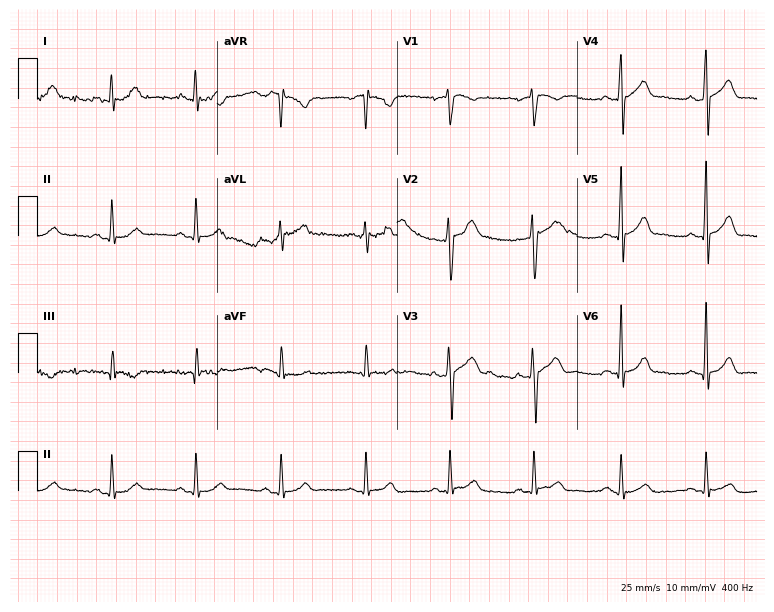
Standard 12-lead ECG recorded from a 36-year-old man. Read as a normal ECG.